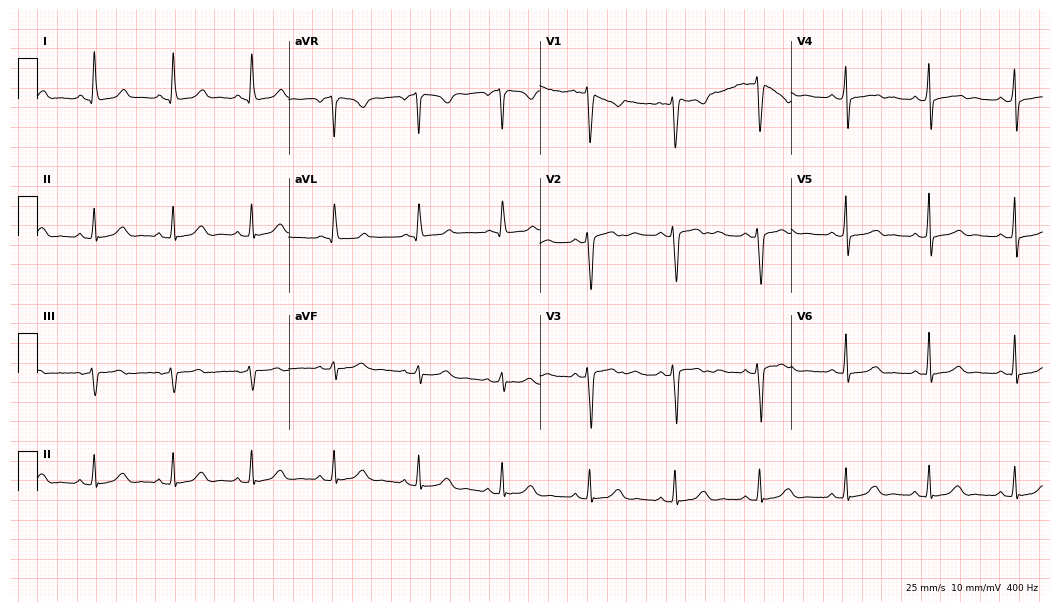
12-lead ECG from a 32-year-old woman (10.2-second recording at 400 Hz). Recorded interpretation: within normal limits.